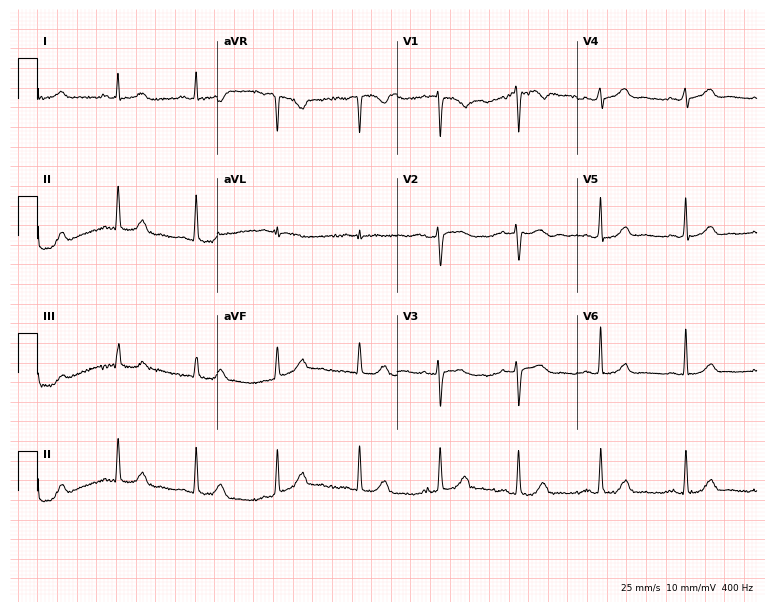
12-lead ECG from a 68-year-old female. Recorded interpretation: within normal limits.